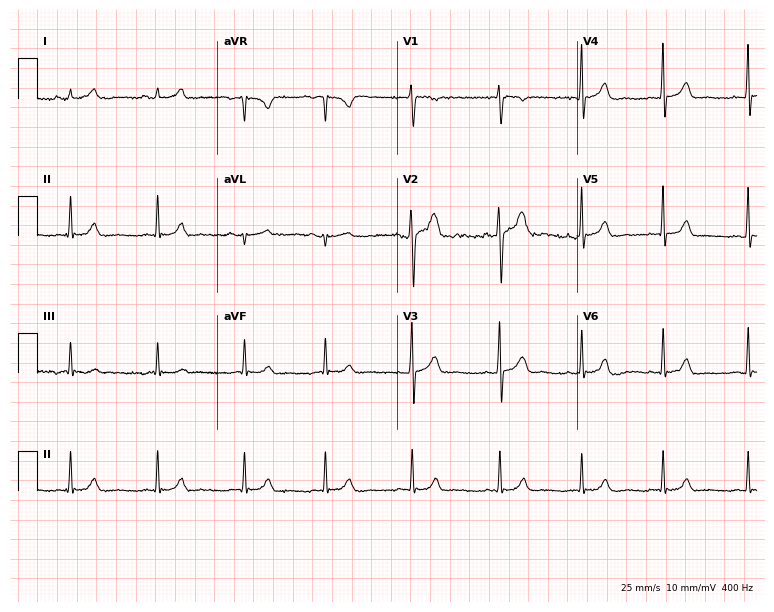
Resting 12-lead electrocardiogram (7.3-second recording at 400 Hz). Patient: a 20-year-old female. None of these six findings is recorded: first-degree AV block, right bundle branch block, left bundle branch block, sinus bradycardia, atrial fibrillation, sinus tachycardia. Only these six findings were labelled.